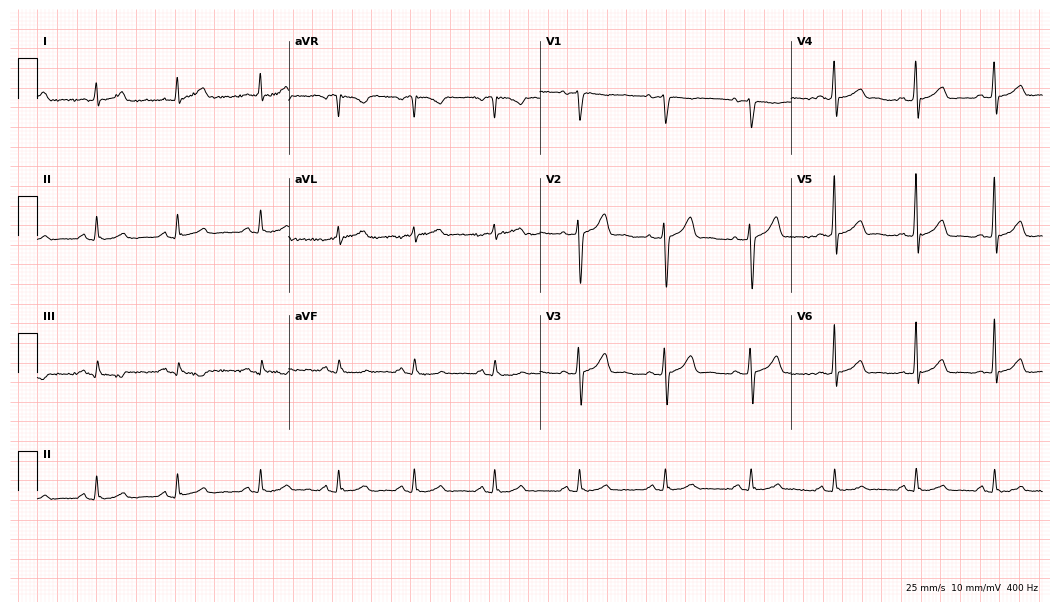
Resting 12-lead electrocardiogram. Patient: a 50-year-old male. Read as a normal ECG.